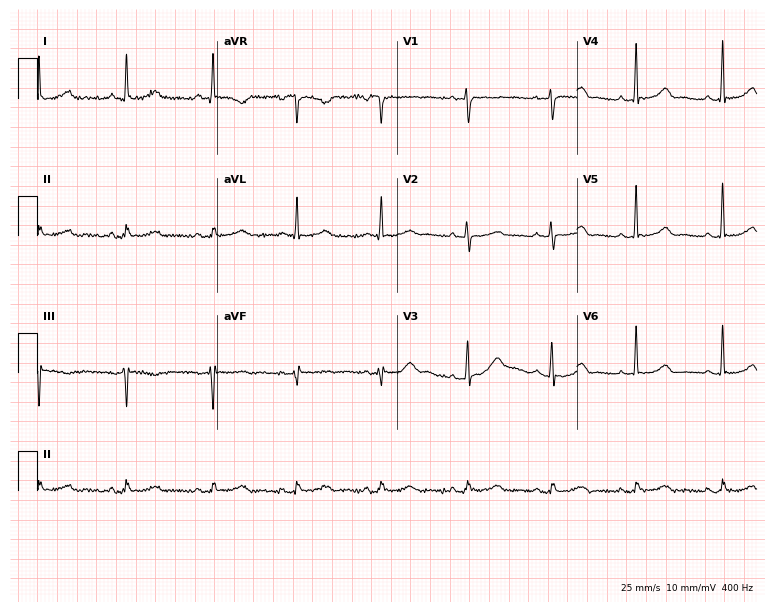
ECG — a female, 68 years old. Labelled as a normal ECG.